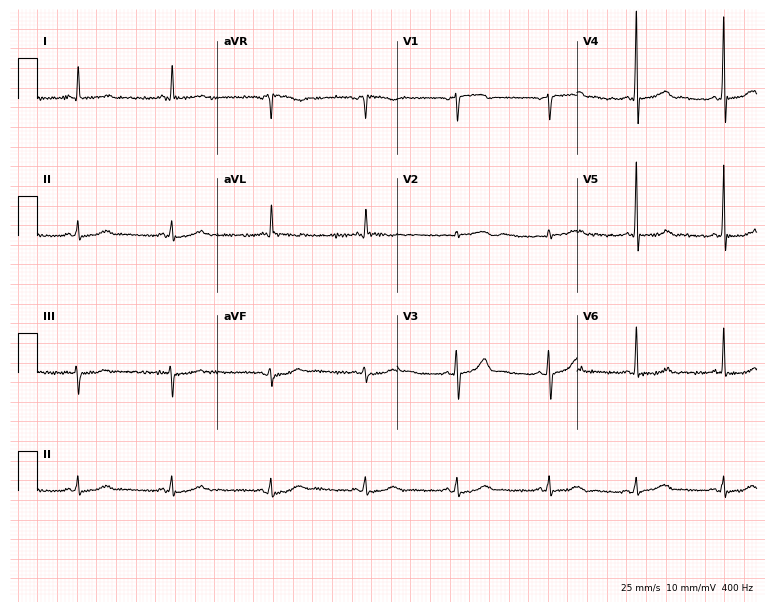
12-lead ECG from a female patient, 59 years old. Labelled as a normal ECG.